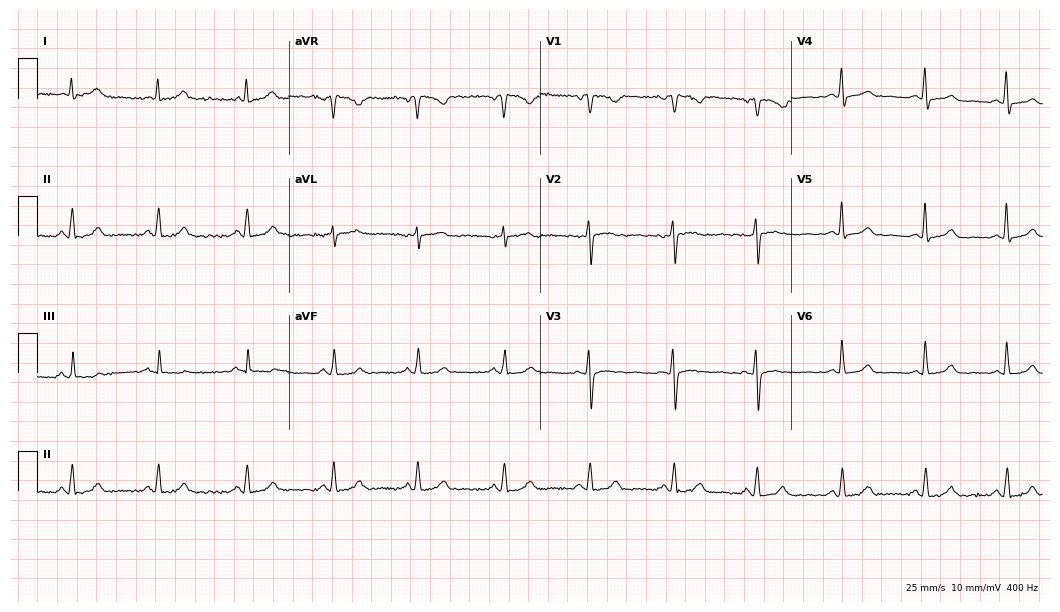
Resting 12-lead electrocardiogram (10.2-second recording at 400 Hz). Patient: a woman, 36 years old. Read as a normal ECG.